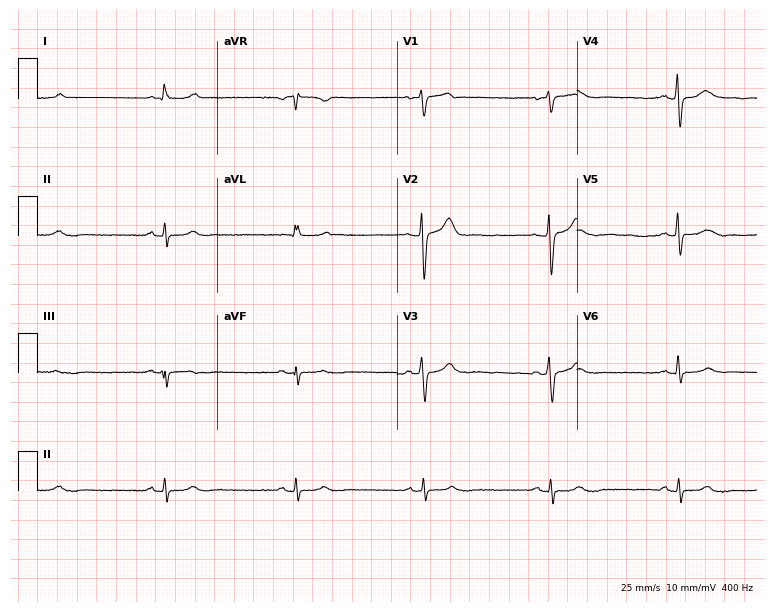
12-lead ECG from a 53-year-old woman (7.3-second recording at 400 Hz). Shows sinus bradycardia (a sinus rate of 50 beats per minute or less).